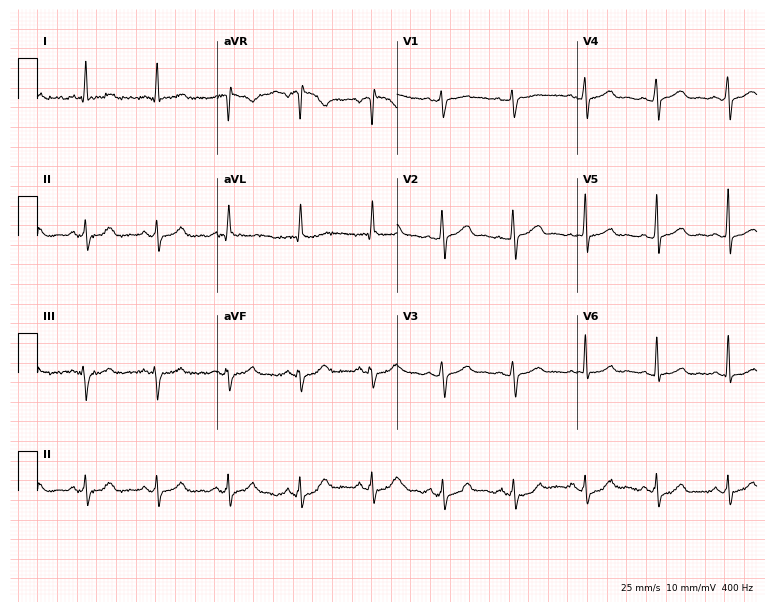
12-lead ECG from a 56-year-old woman. Recorded interpretation: within normal limits.